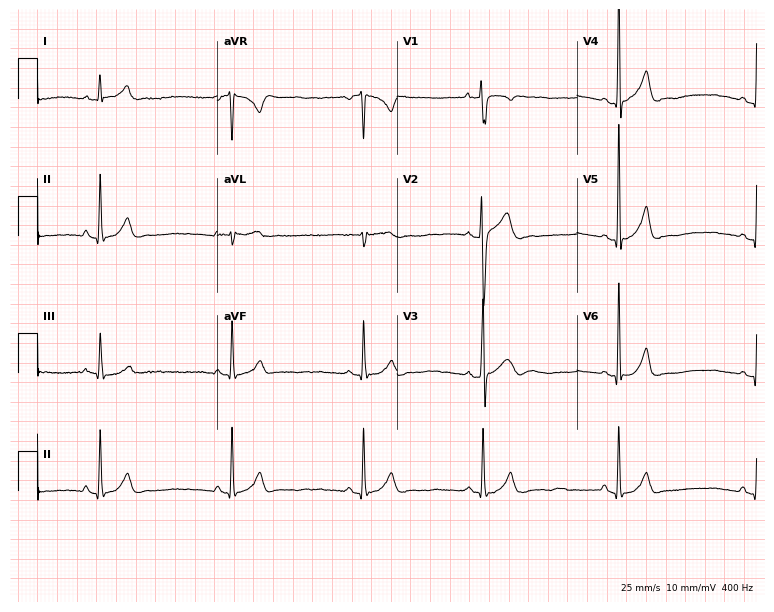
ECG — a 26-year-old man. Screened for six findings — first-degree AV block, right bundle branch block, left bundle branch block, sinus bradycardia, atrial fibrillation, sinus tachycardia — none is recorded.